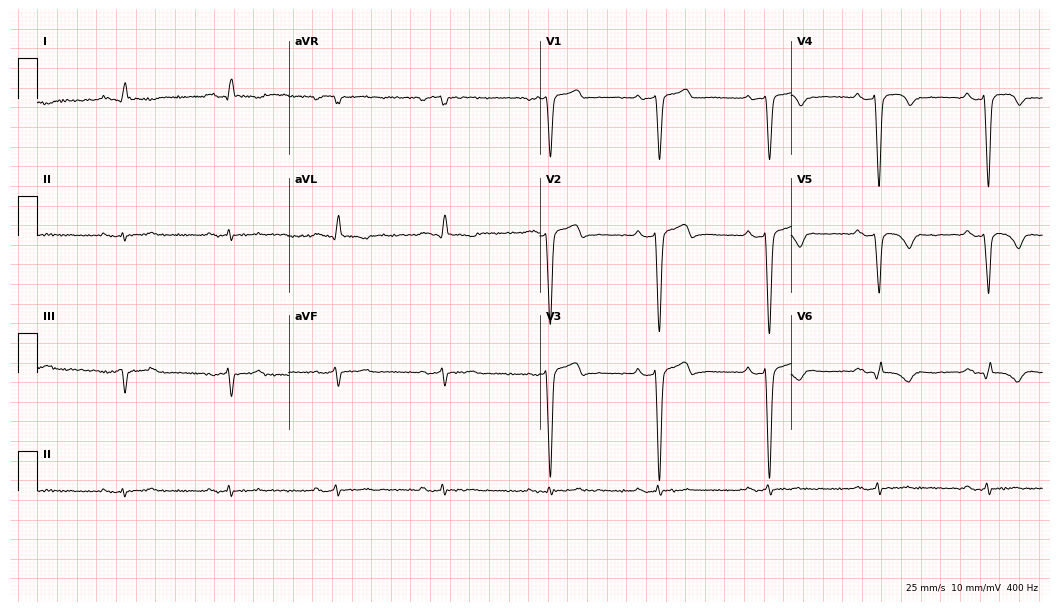
12-lead ECG (10.2-second recording at 400 Hz) from a 65-year-old female. Findings include left bundle branch block.